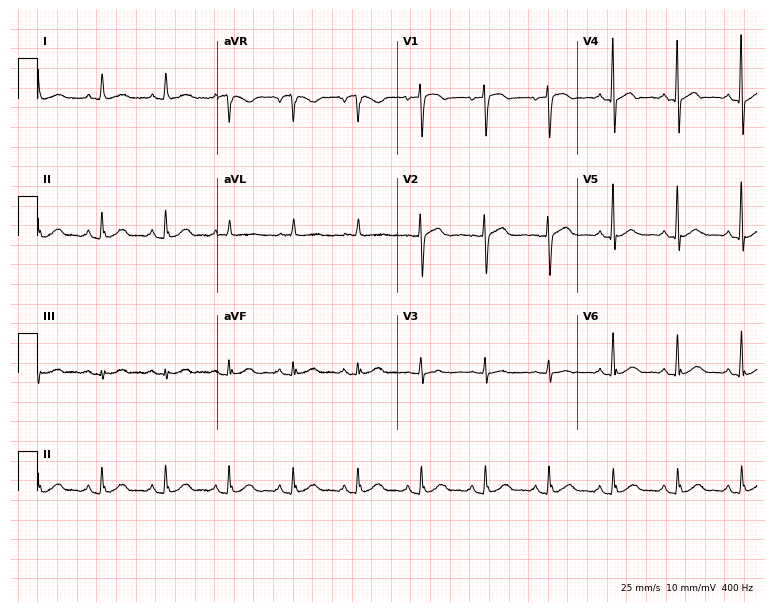
Resting 12-lead electrocardiogram. Patient: an 83-year-old female. None of these six findings is recorded: first-degree AV block, right bundle branch block, left bundle branch block, sinus bradycardia, atrial fibrillation, sinus tachycardia.